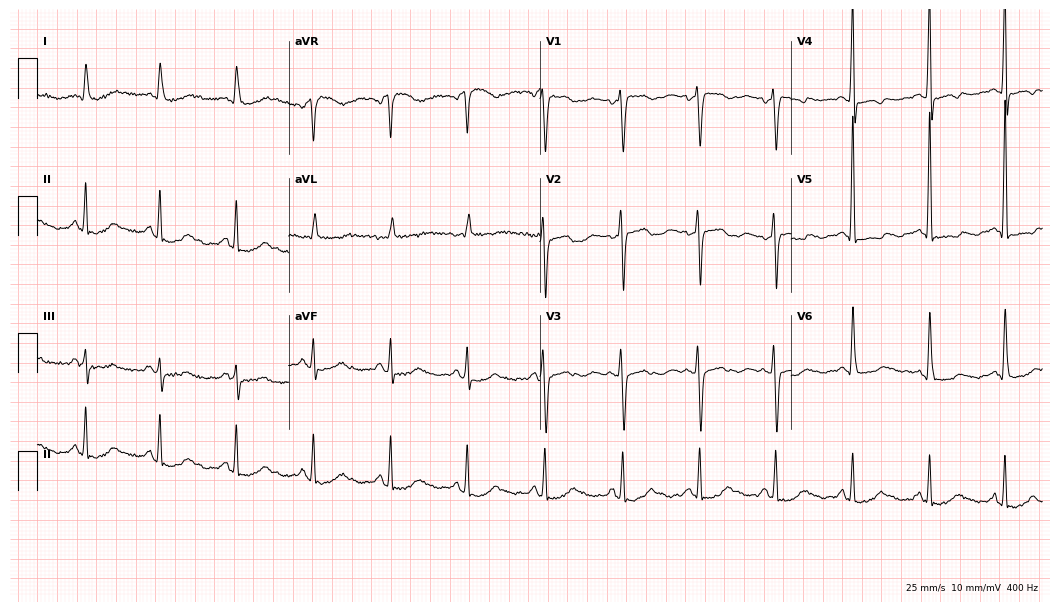
Resting 12-lead electrocardiogram (10.2-second recording at 400 Hz). Patient: a 73-year-old female. None of these six findings is recorded: first-degree AV block, right bundle branch block (RBBB), left bundle branch block (LBBB), sinus bradycardia, atrial fibrillation (AF), sinus tachycardia.